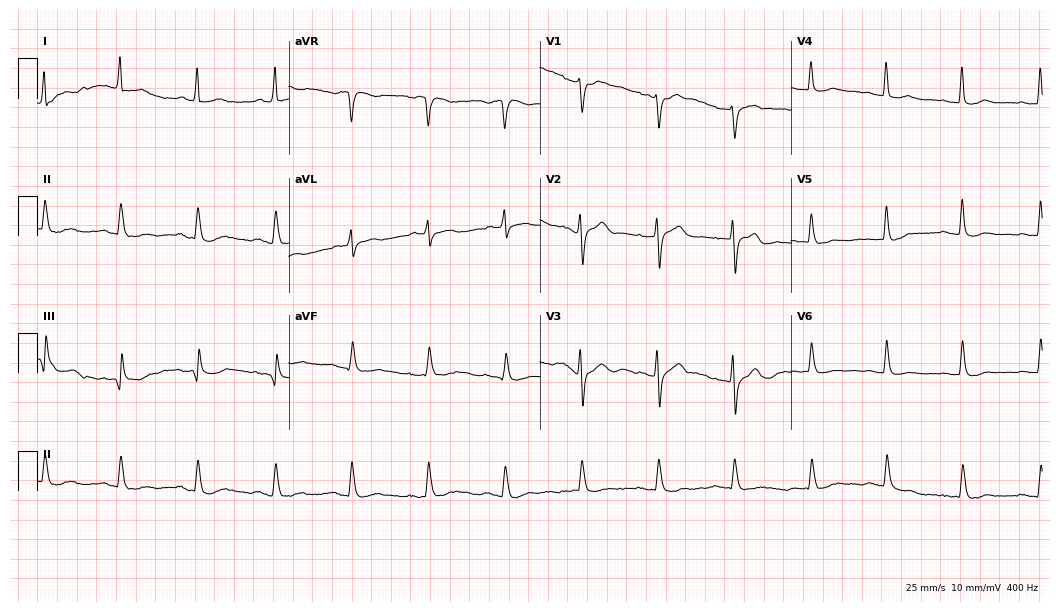
ECG (10.2-second recording at 400 Hz) — a 63-year-old woman. Screened for six findings — first-degree AV block, right bundle branch block (RBBB), left bundle branch block (LBBB), sinus bradycardia, atrial fibrillation (AF), sinus tachycardia — none is recorded.